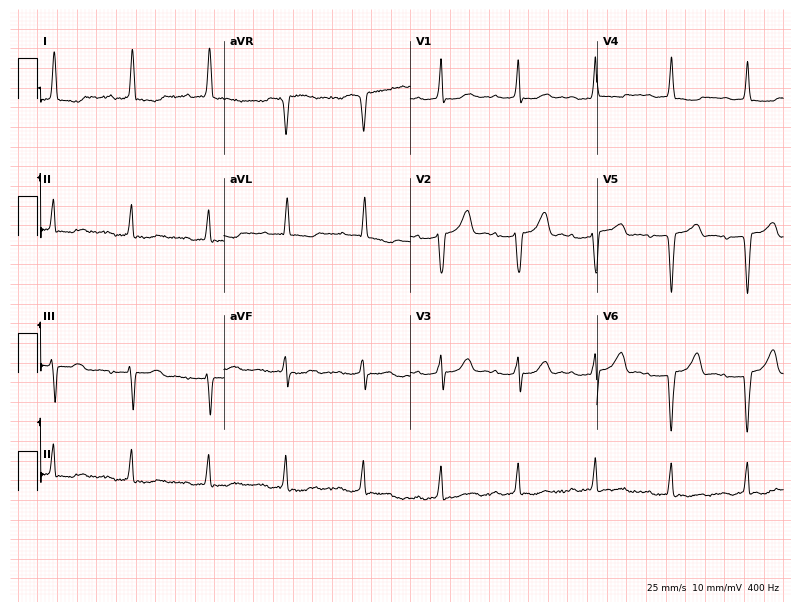
Resting 12-lead electrocardiogram (7.6-second recording at 400 Hz). Patient: a female, 63 years old. None of these six findings is recorded: first-degree AV block, right bundle branch block, left bundle branch block, sinus bradycardia, atrial fibrillation, sinus tachycardia. Findings outside these six are not listed.